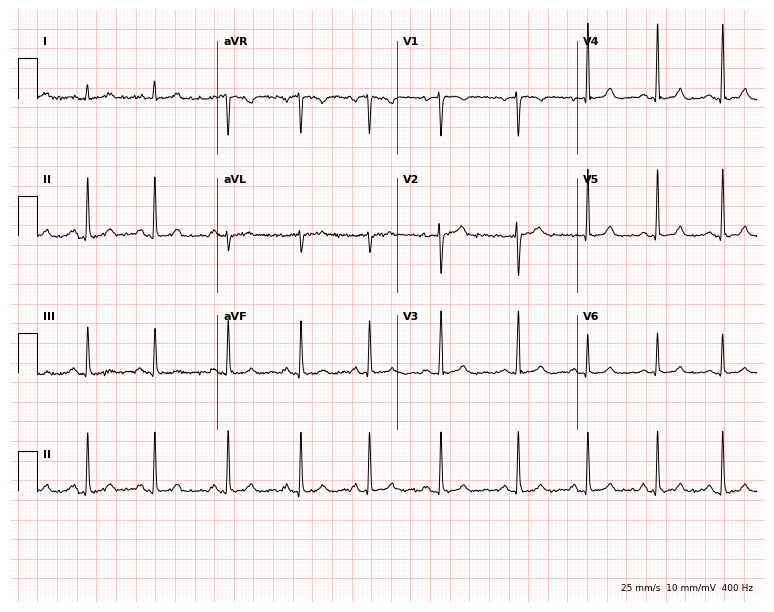
12-lead ECG from a 38-year-old woman. Recorded interpretation: within normal limits.